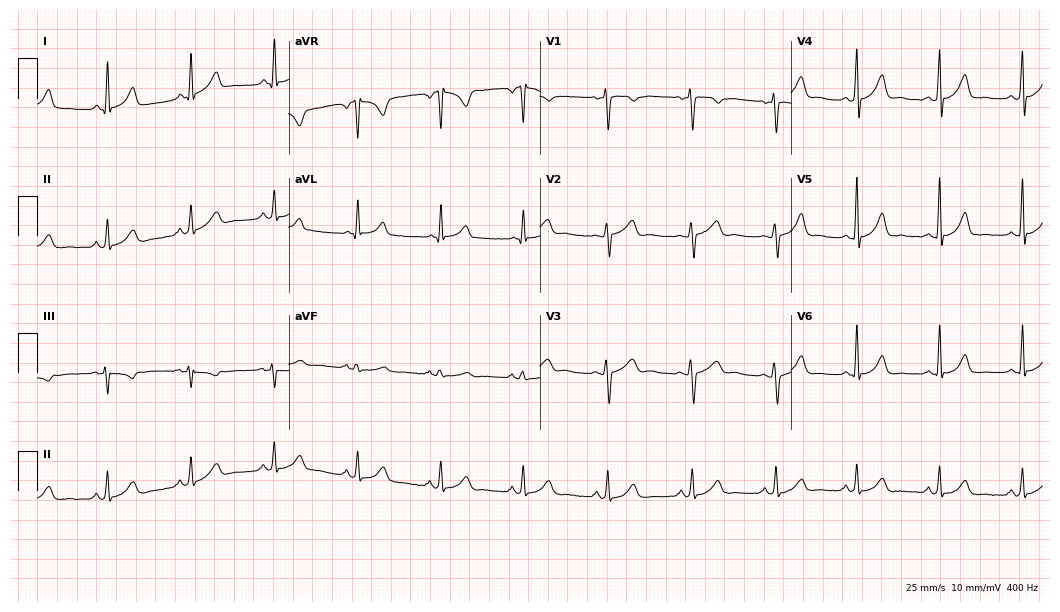
ECG — a 41-year-old woman. Screened for six findings — first-degree AV block, right bundle branch block, left bundle branch block, sinus bradycardia, atrial fibrillation, sinus tachycardia — none is recorded. Only these six findings were labelled.